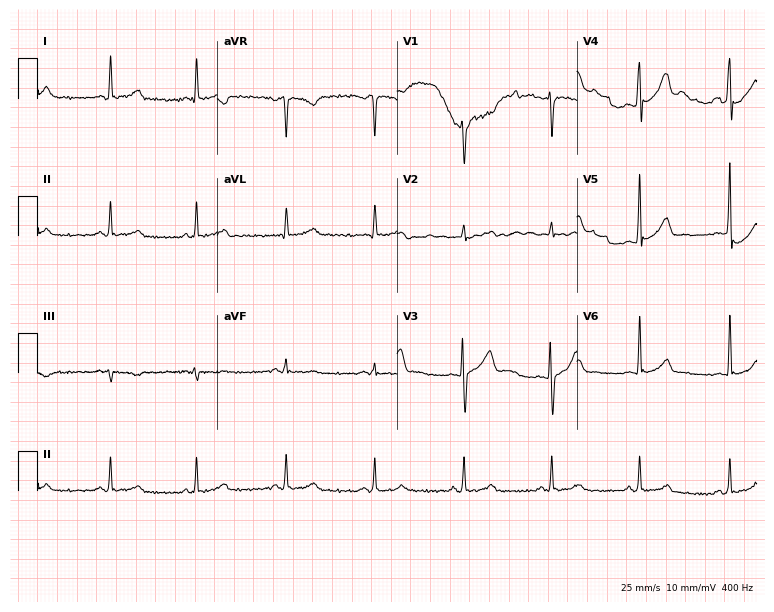
12-lead ECG from a 41-year-old male. Labelled as a normal ECG.